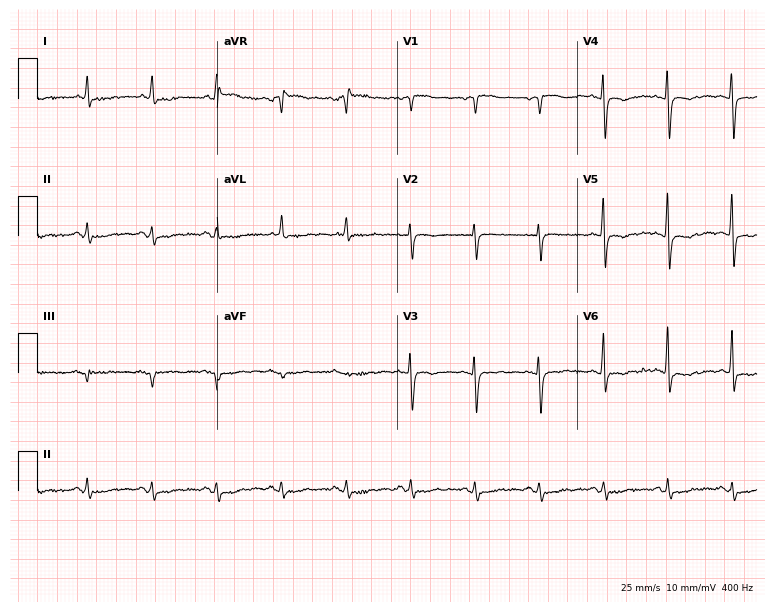
Resting 12-lead electrocardiogram. Patient: a male, 68 years old. None of these six findings is recorded: first-degree AV block, right bundle branch block, left bundle branch block, sinus bradycardia, atrial fibrillation, sinus tachycardia. Only these six findings were labelled.